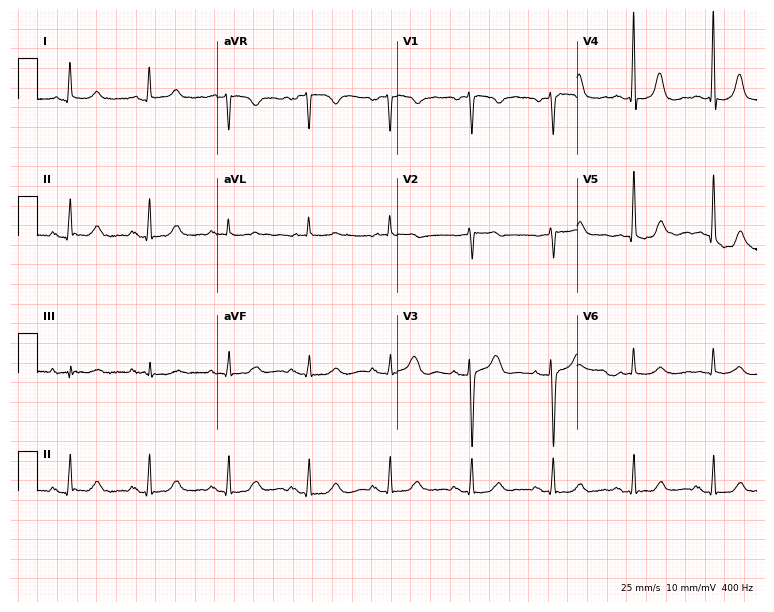
12-lead ECG from a female, 67 years old (7.3-second recording at 400 Hz). No first-degree AV block, right bundle branch block, left bundle branch block, sinus bradycardia, atrial fibrillation or sinus tachycardia recorded for this tracing.